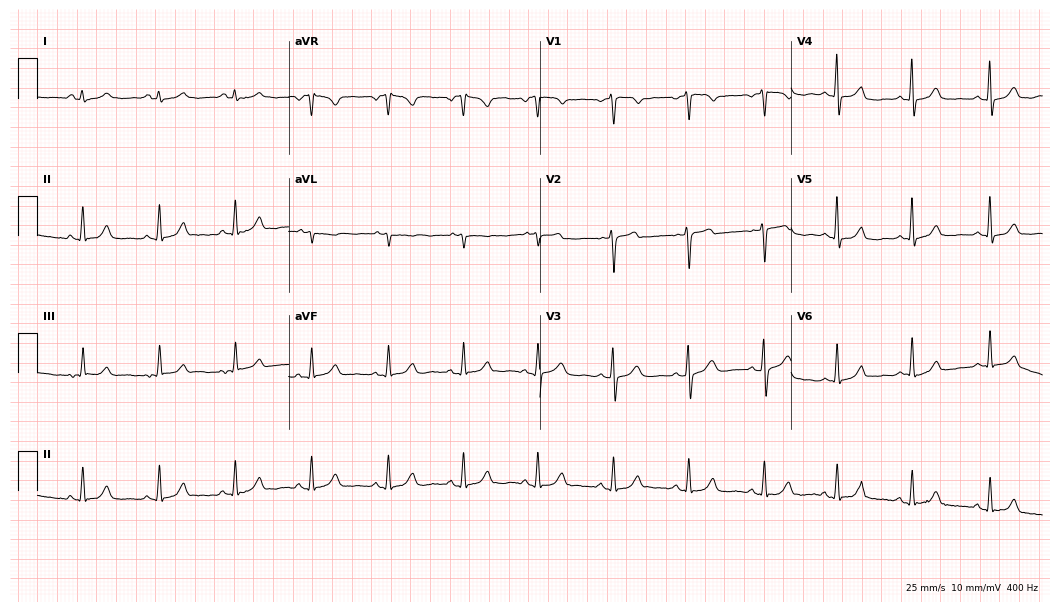
12-lead ECG from a female patient, 49 years old (10.2-second recording at 400 Hz). Recorded interpretation: within normal limits.